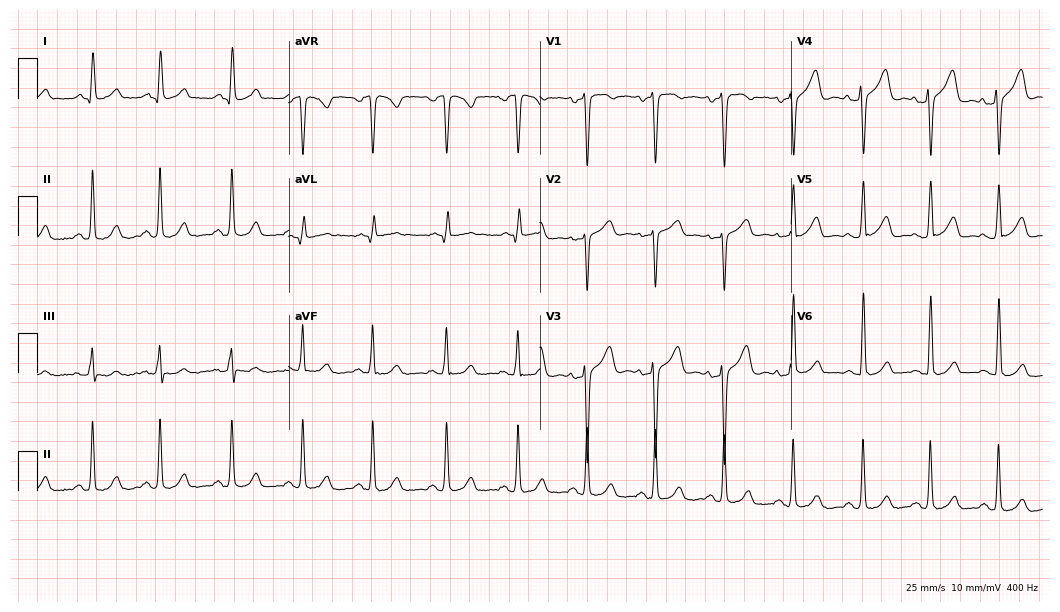
12-lead ECG from a 33-year-old male patient. Recorded interpretation: within normal limits.